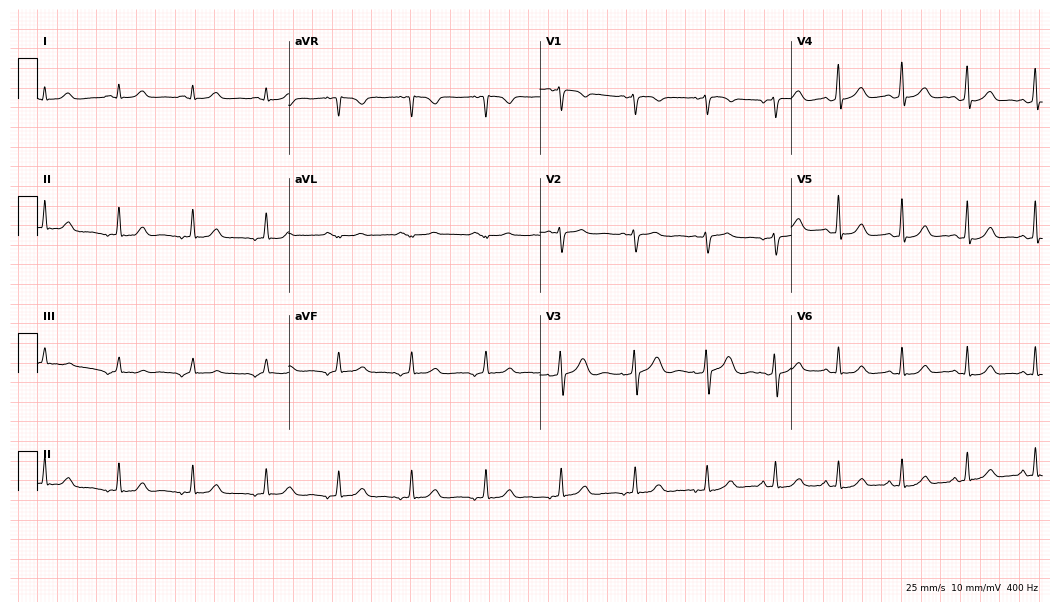
Resting 12-lead electrocardiogram. Patient: a female, 50 years old. None of these six findings is recorded: first-degree AV block, right bundle branch block, left bundle branch block, sinus bradycardia, atrial fibrillation, sinus tachycardia.